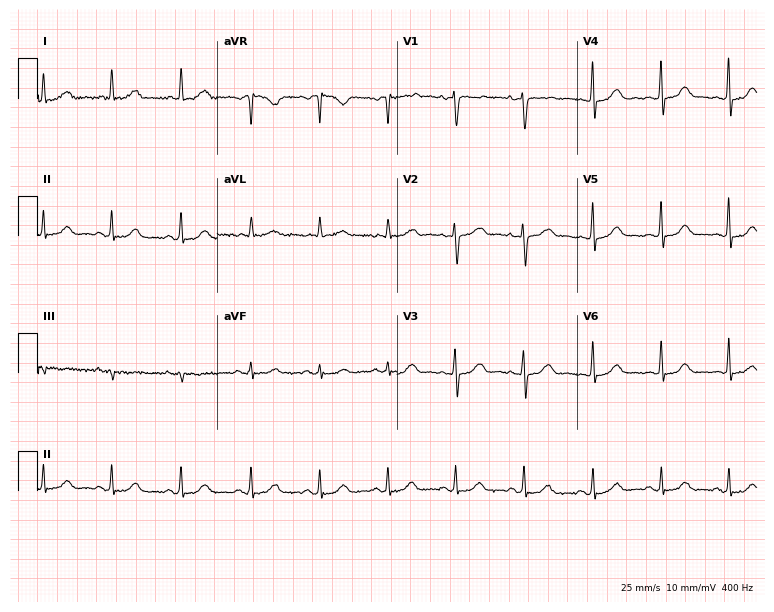
12-lead ECG from a 66-year-old female (7.3-second recording at 400 Hz). Recorded interpretation: within normal limits.